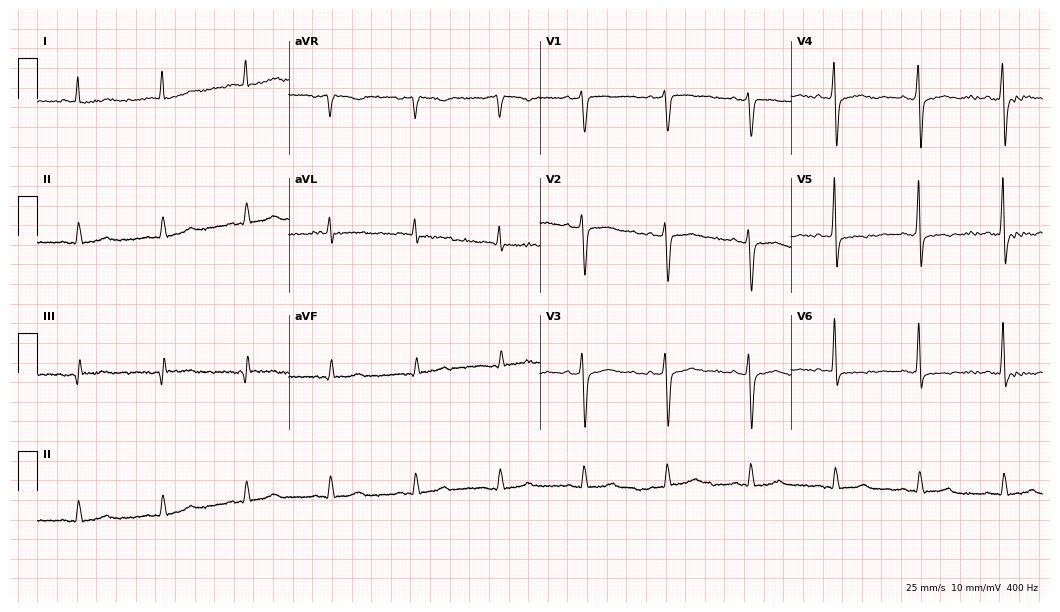
12-lead ECG (10.2-second recording at 400 Hz) from a female, 83 years old. Screened for six findings — first-degree AV block, right bundle branch block, left bundle branch block, sinus bradycardia, atrial fibrillation, sinus tachycardia — none is recorded.